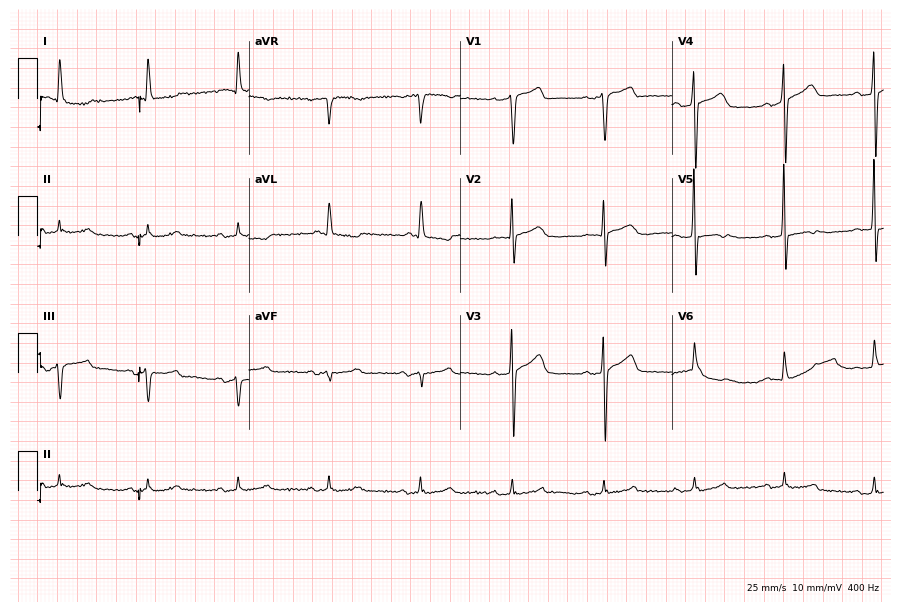
ECG — a 69-year-old male. Labelled as a normal ECG.